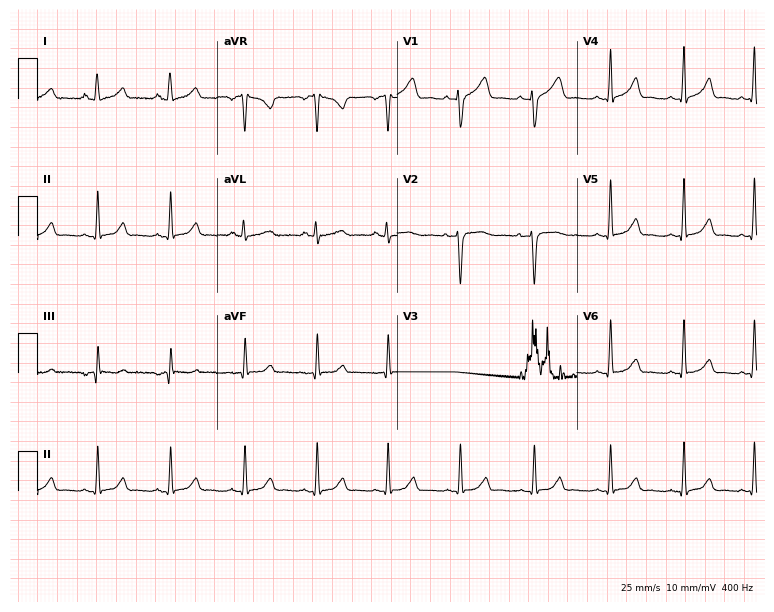
ECG (7.3-second recording at 400 Hz) — a 26-year-old woman. Screened for six findings — first-degree AV block, right bundle branch block (RBBB), left bundle branch block (LBBB), sinus bradycardia, atrial fibrillation (AF), sinus tachycardia — none is recorded. Findings outside these six are not listed.